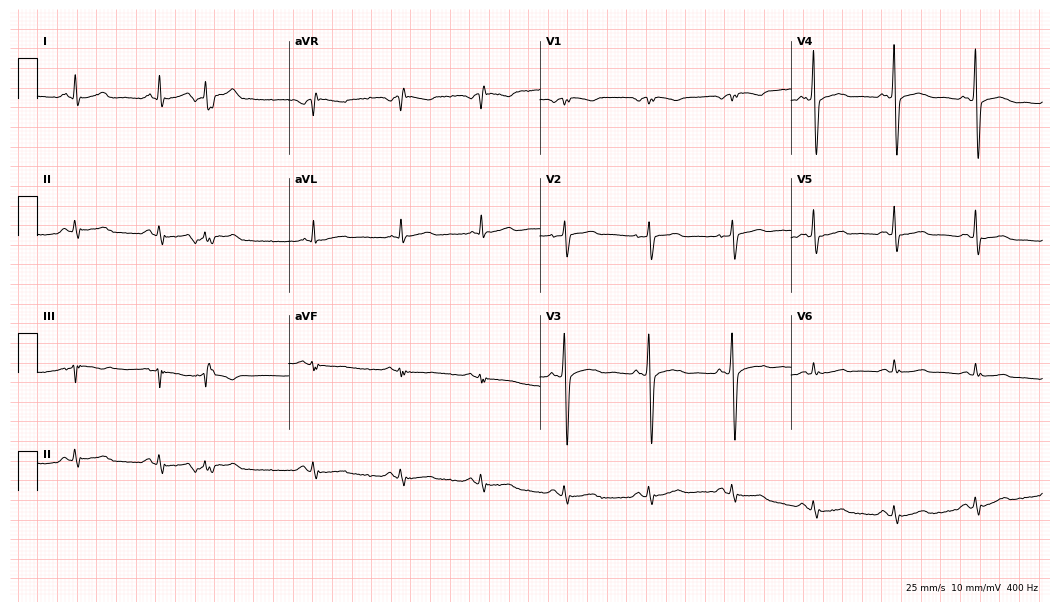
Resting 12-lead electrocardiogram. Patient: a man, 61 years old. Read as a normal ECG.